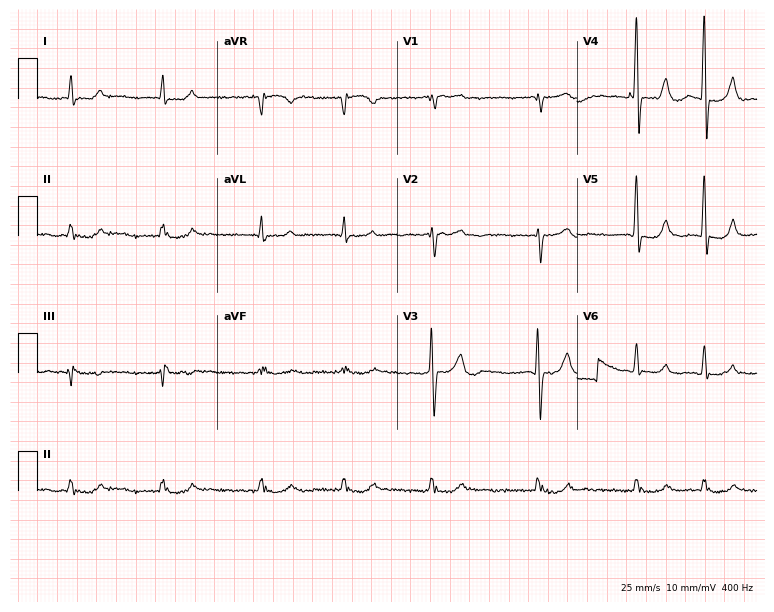
Electrocardiogram, an 80-year-old male patient. Interpretation includes atrial fibrillation.